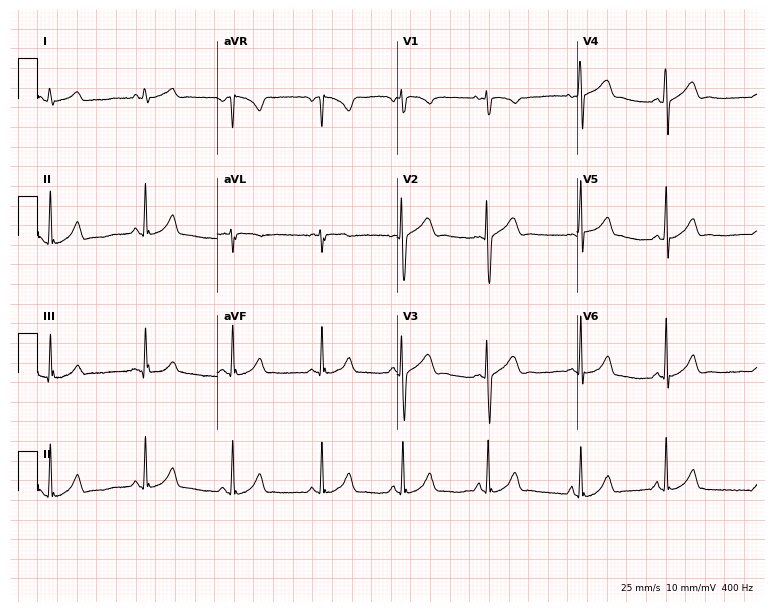
Resting 12-lead electrocardiogram (7.3-second recording at 400 Hz). Patient: an 18-year-old woman. Read as a normal ECG.